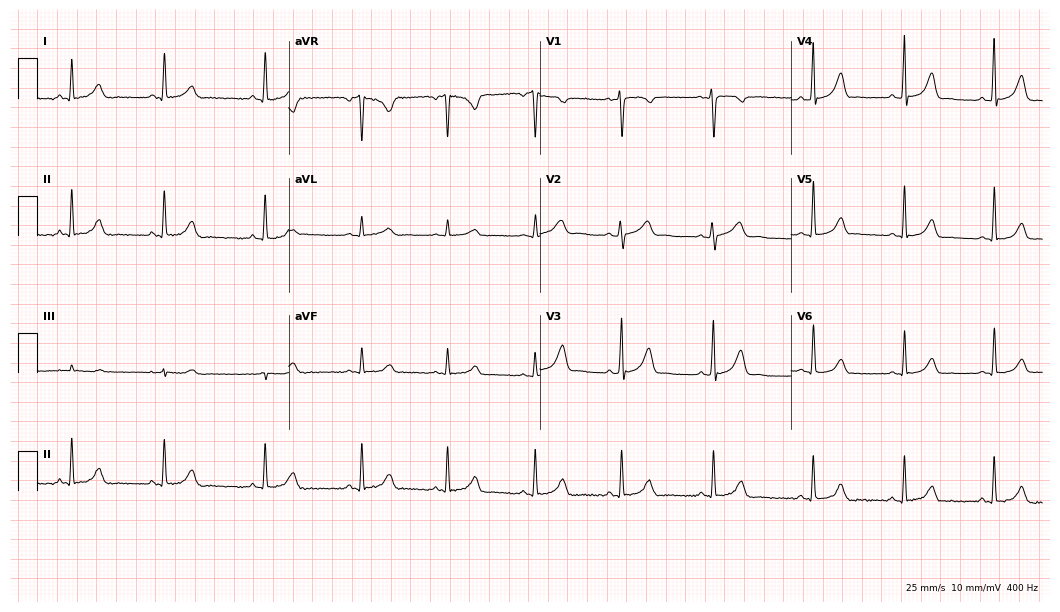
12-lead ECG (10.2-second recording at 400 Hz) from a female, 22 years old. Screened for six findings — first-degree AV block, right bundle branch block, left bundle branch block, sinus bradycardia, atrial fibrillation, sinus tachycardia — none is recorded.